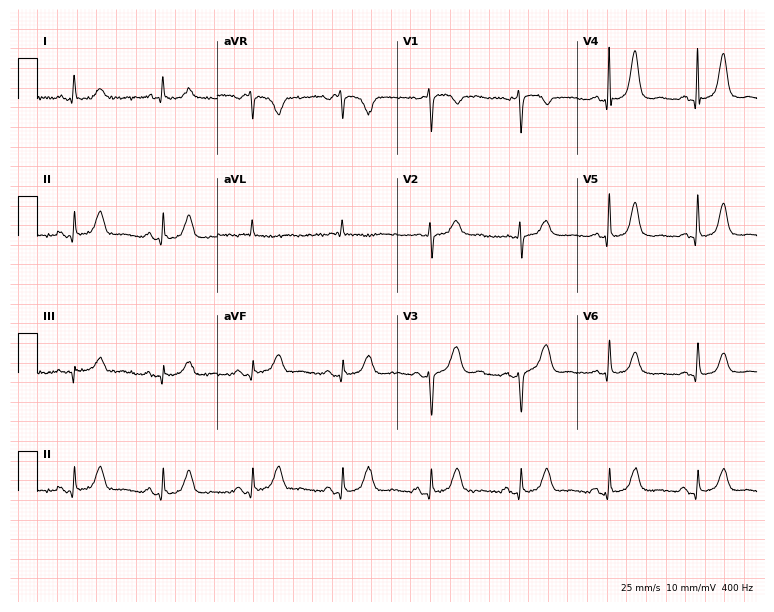
ECG (7.3-second recording at 400 Hz) — a female, 72 years old. Screened for six findings — first-degree AV block, right bundle branch block (RBBB), left bundle branch block (LBBB), sinus bradycardia, atrial fibrillation (AF), sinus tachycardia — none is recorded. Only these six findings were labelled.